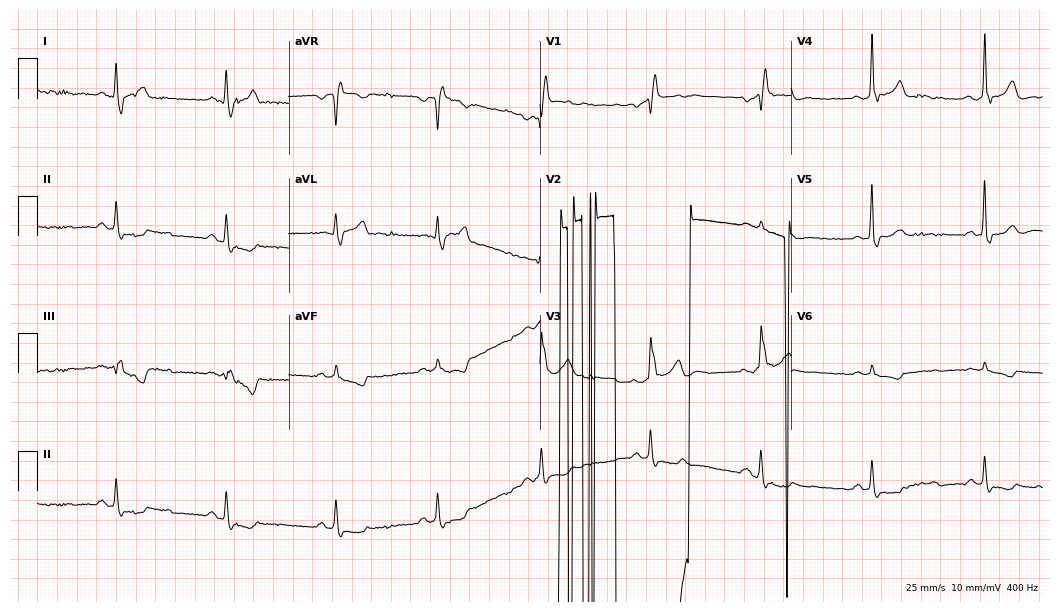
12-lead ECG from a male, 57 years old (10.2-second recording at 400 Hz). No first-degree AV block, right bundle branch block, left bundle branch block, sinus bradycardia, atrial fibrillation or sinus tachycardia recorded for this tracing. Other findings, if any, are not listed.